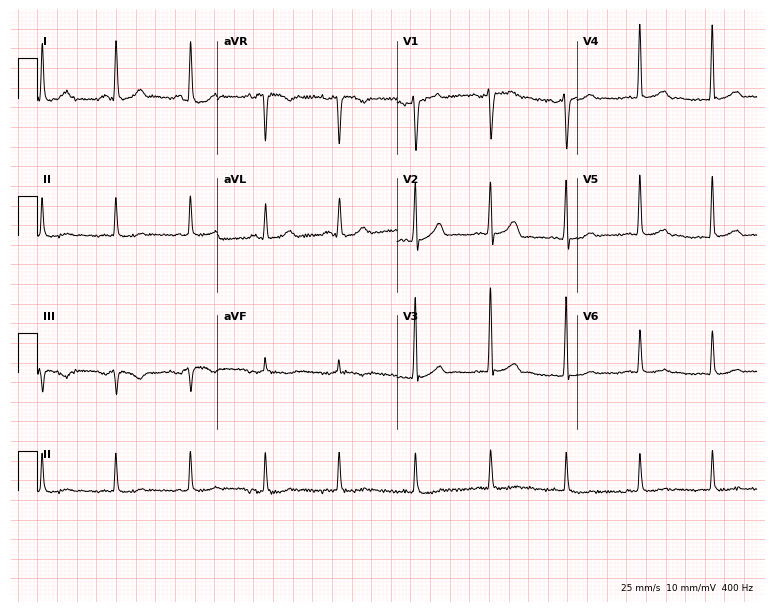
Resting 12-lead electrocardiogram (7.3-second recording at 400 Hz). Patient: a 35-year-old man. Read as a normal ECG.